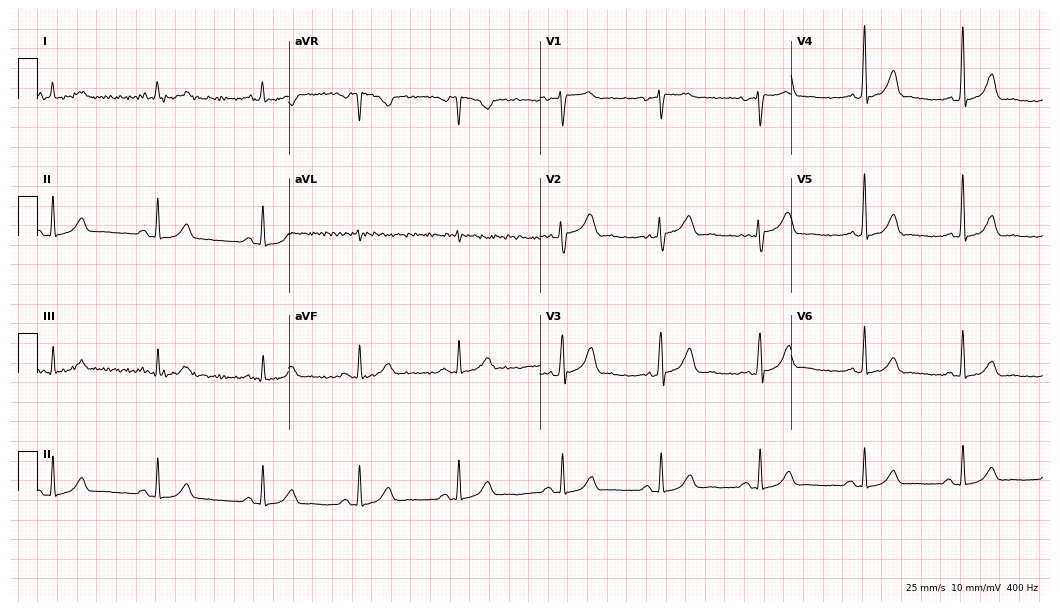
Electrocardiogram (10.2-second recording at 400 Hz), a female, 59 years old. Overall reading on record: normal ECG.